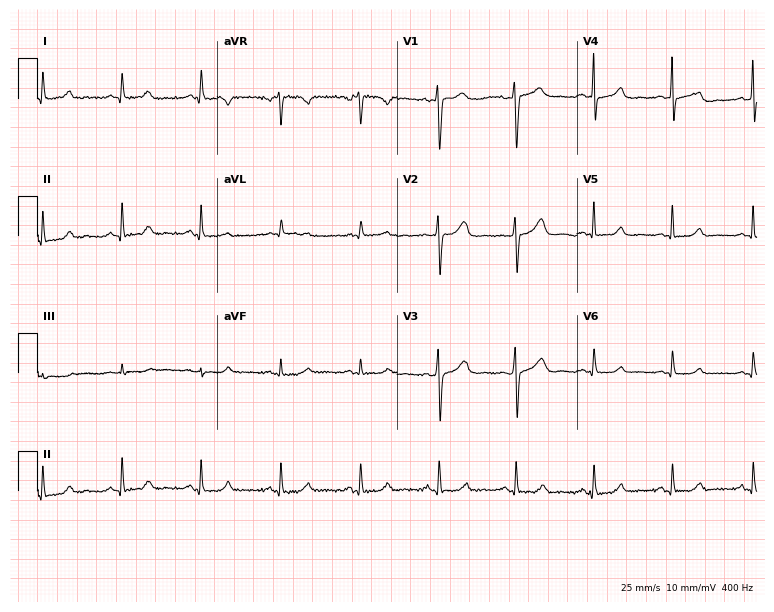
Resting 12-lead electrocardiogram (7.3-second recording at 400 Hz). Patient: a woman, 63 years old. Read as a normal ECG.